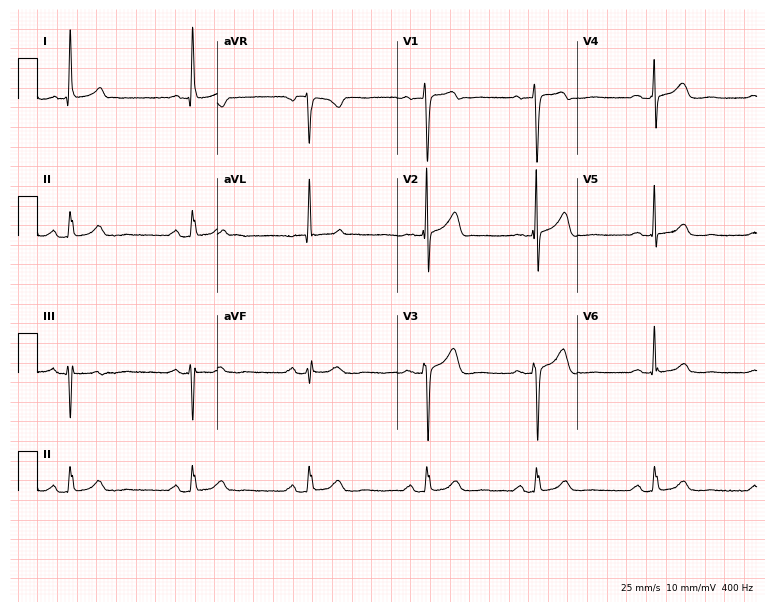
Electrocardiogram (7.3-second recording at 400 Hz), a 70-year-old woman. Of the six screened findings (first-degree AV block, right bundle branch block, left bundle branch block, sinus bradycardia, atrial fibrillation, sinus tachycardia), none is recorded.